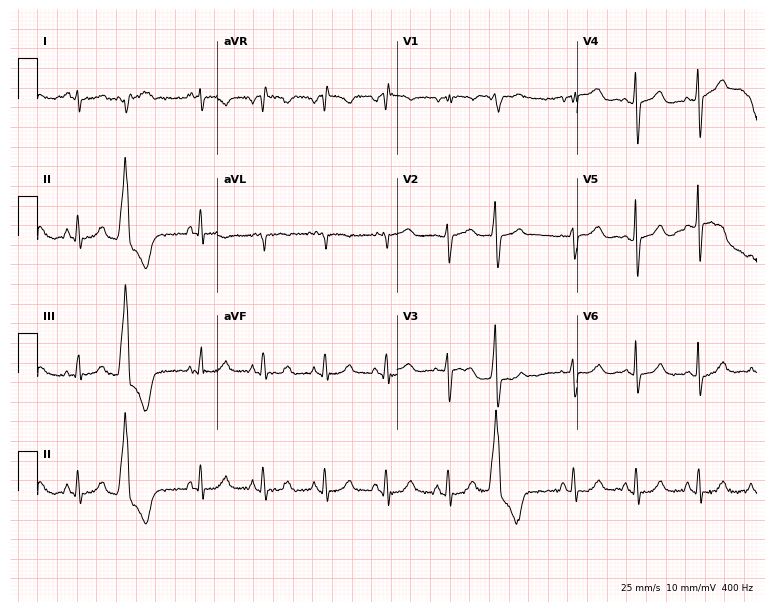
Standard 12-lead ECG recorded from a female patient, 71 years old (7.3-second recording at 400 Hz). None of these six findings is recorded: first-degree AV block, right bundle branch block (RBBB), left bundle branch block (LBBB), sinus bradycardia, atrial fibrillation (AF), sinus tachycardia.